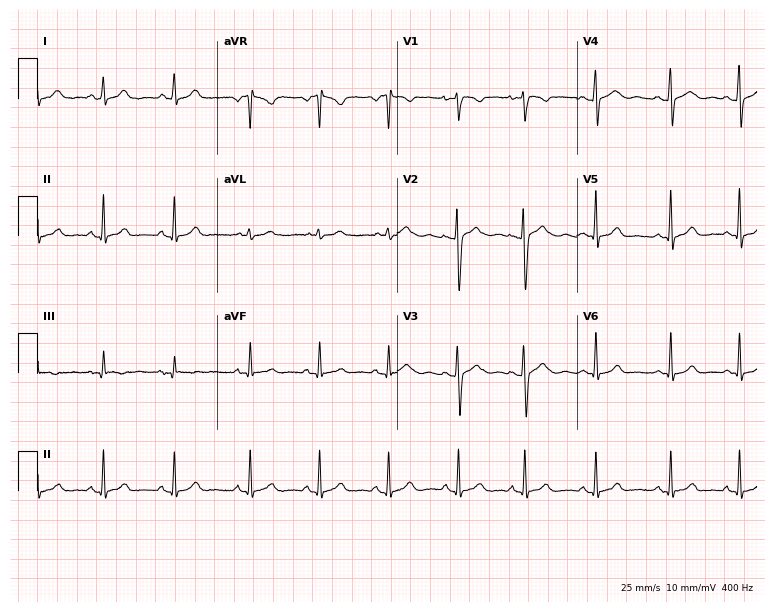
Electrocardiogram (7.3-second recording at 400 Hz), a 24-year-old woman. Overall reading on record: normal ECG.